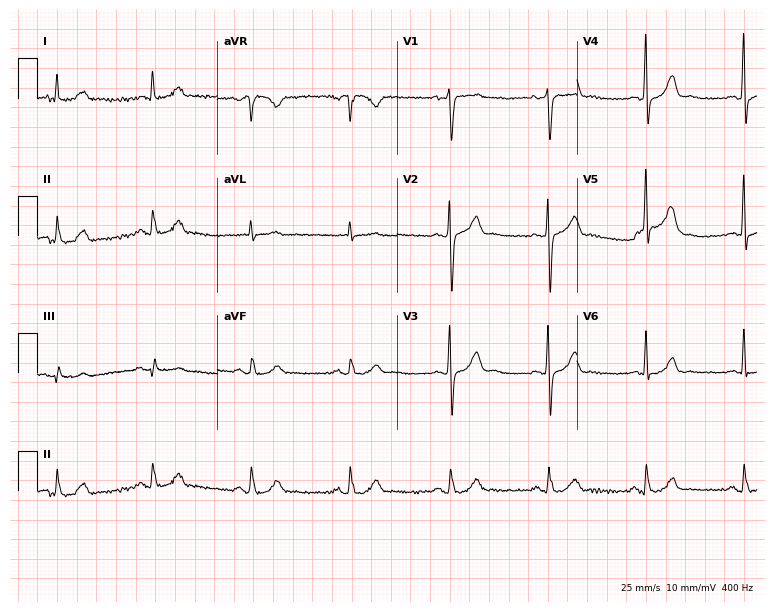
12-lead ECG from a man, 61 years old (7.3-second recording at 400 Hz). Recorded interpretation: within normal limits.